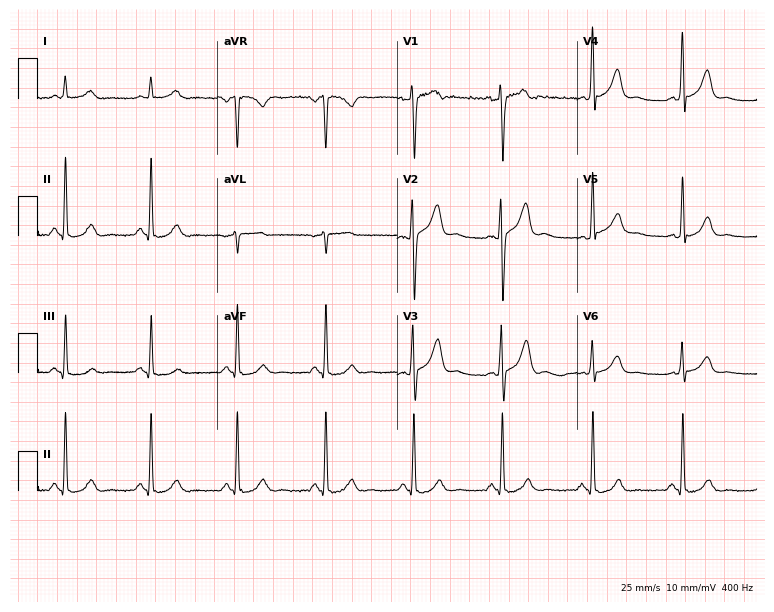
ECG (7.3-second recording at 400 Hz) — a 57-year-old male patient. Screened for six findings — first-degree AV block, right bundle branch block (RBBB), left bundle branch block (LBBB), sinus bradycardia, atrial fibrillation (AF), sinus tachycardia — none is recorded.